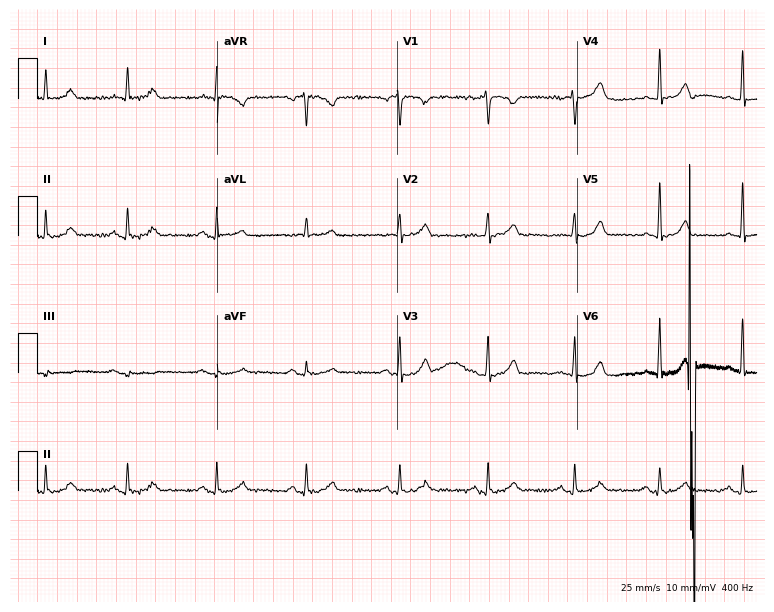
ECG (7.3-second recording at 400 Hz) — a female, 45 years old. Labelled as a normal ECG.